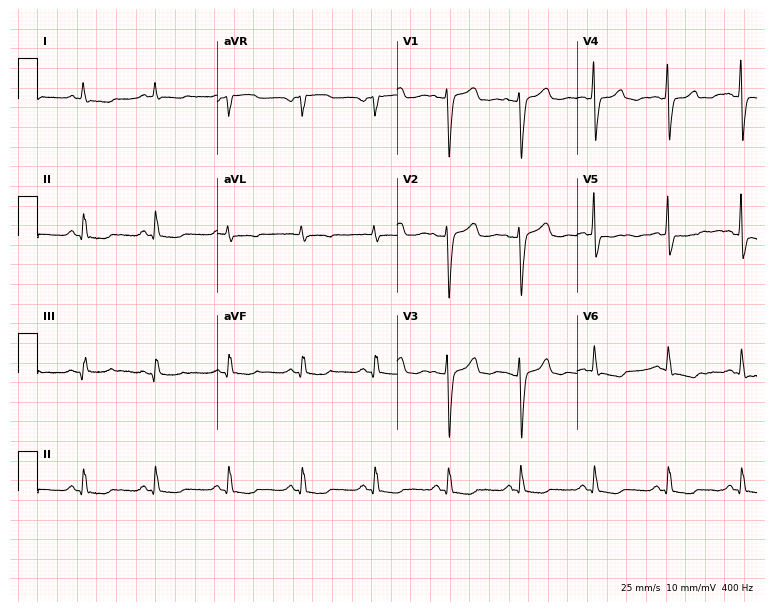
Resting 12-lead electrocardiogram (7.3-second recording at 400 Hz). Patient: a female, 56 years old. None of these six findings is recorded: first-degree AV block, right bundle branch block (RBBB), left bundle branch block (LBBB), sinus bradycardia, atrial fibrillation (AF), sinus tachycardia. Findings outside these six are not listed.